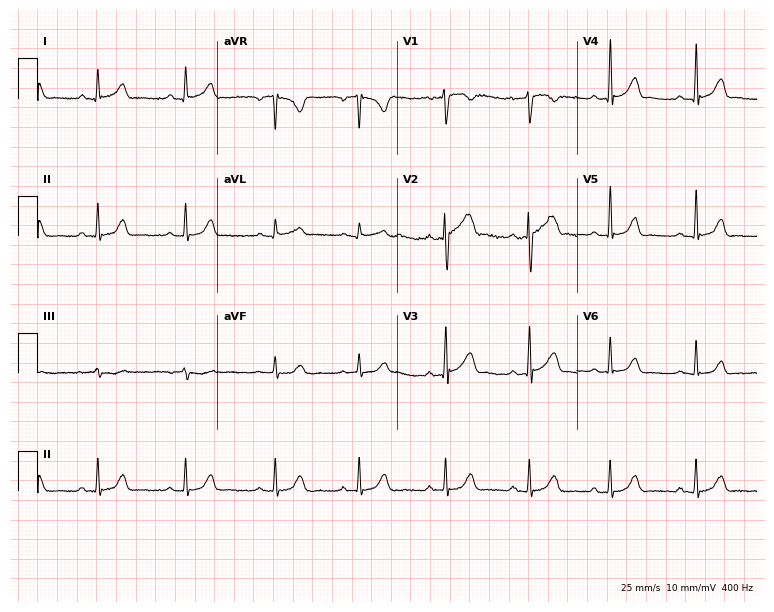
Standard 12-lead ECG recorded from a 37-year-old female. Read as a normal ECG.